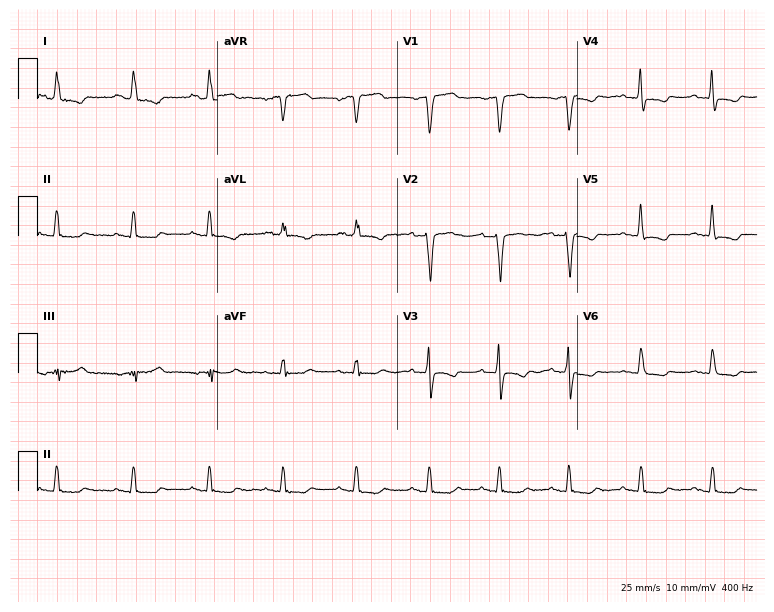
12-lead ECG (7.3-second recording at 400 Hz) from a female patient, 67 years old. Screened for six findings — first-degree AV block, right bundle branch block, left bundle branch block, sinus bradycardia, atrial fibrillation, sinus tachycardia — none is recorded. Findings outside these six are not listed.